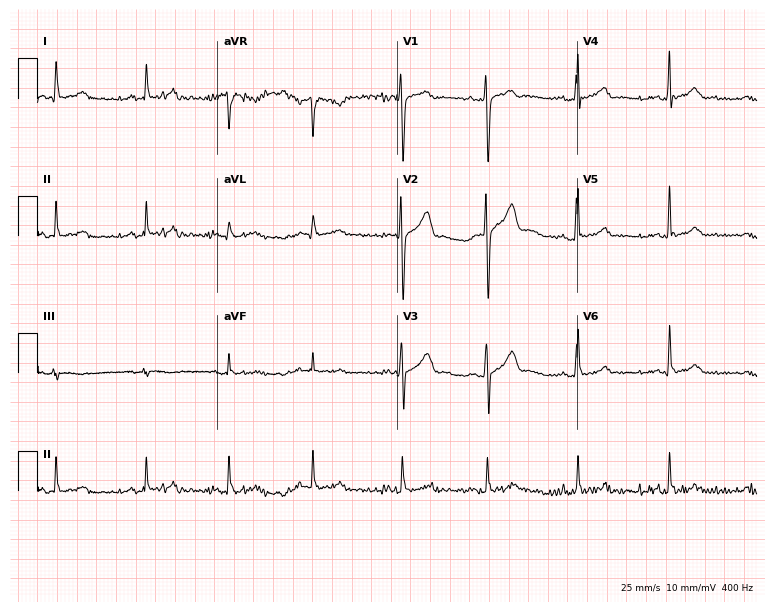
ECG — a 23-year-old male. Labelled as a normal ECG.